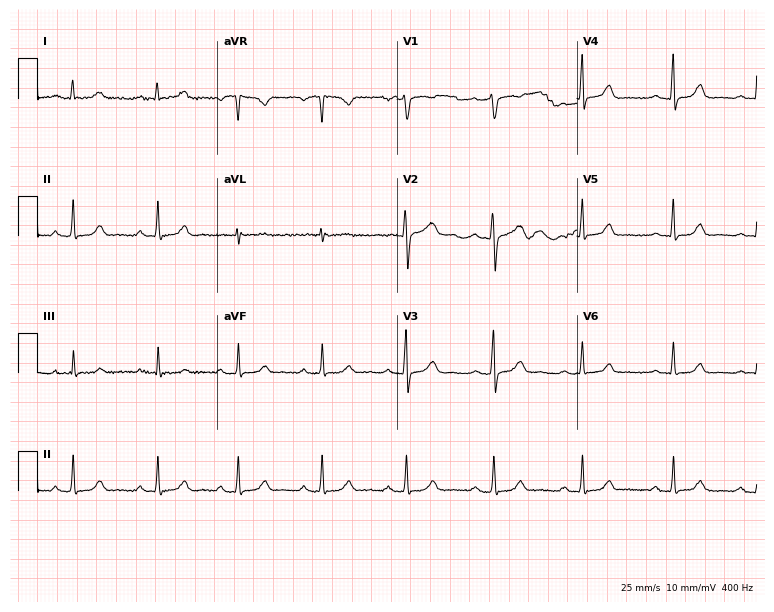
ECG — a woman, 35 years old. Labelled as a normal ECG.